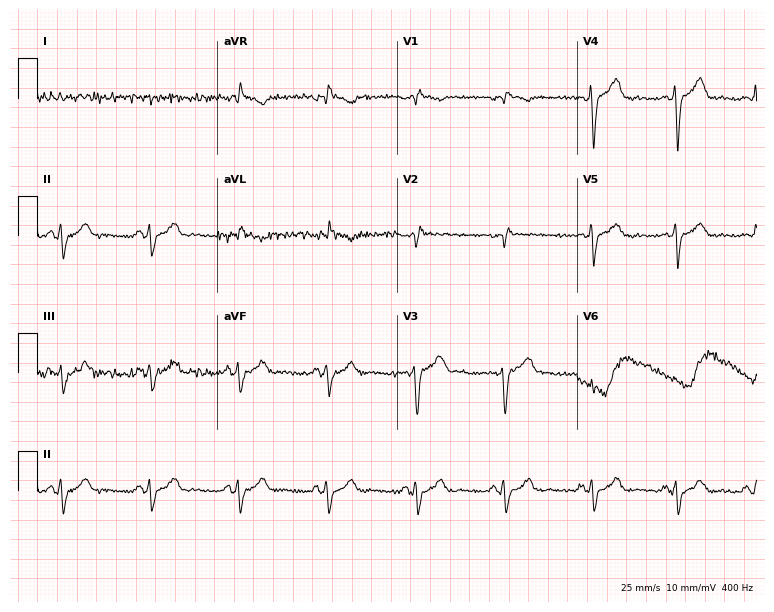
12-lead ECG from a 55-year-old male patient. No first-degree AV block, right bundle branch block, left bundle branch block, sinus bradycardia, atrial fibrillation or sinus tachycardia recorded for this tracing.